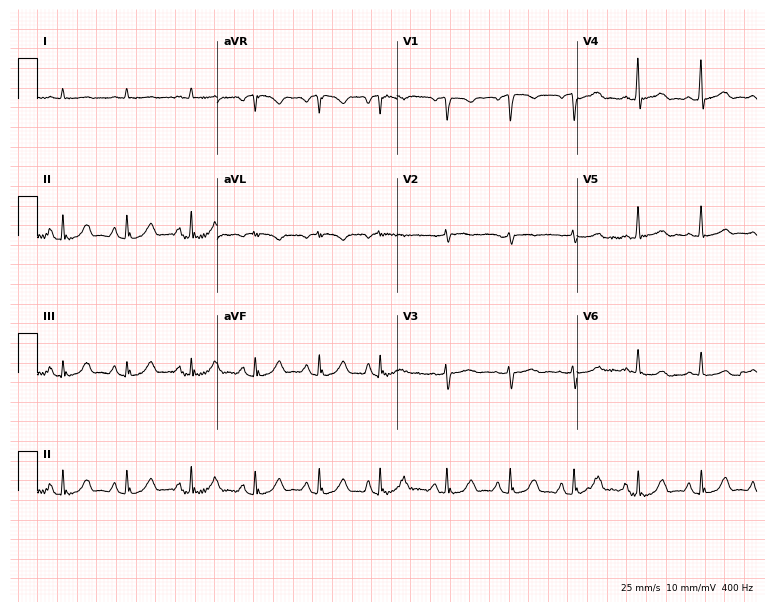
12-lead ECG from a 61-year-old male. No first-degree AV block, right bundle branch block (RBBB), left bundle branch block (LBBB), sinus bradycardia, atrial fibrillation (AF) or sinus tachycardia recorded for this tracing. Other findings, if any, are not listed.